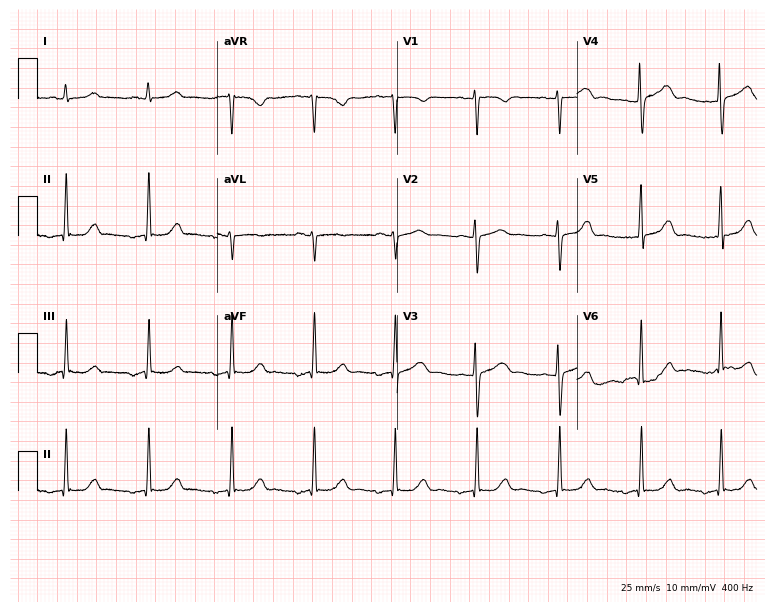
12-lead ECG from a 44-year-old female patient. Labelled as a normal ECG.